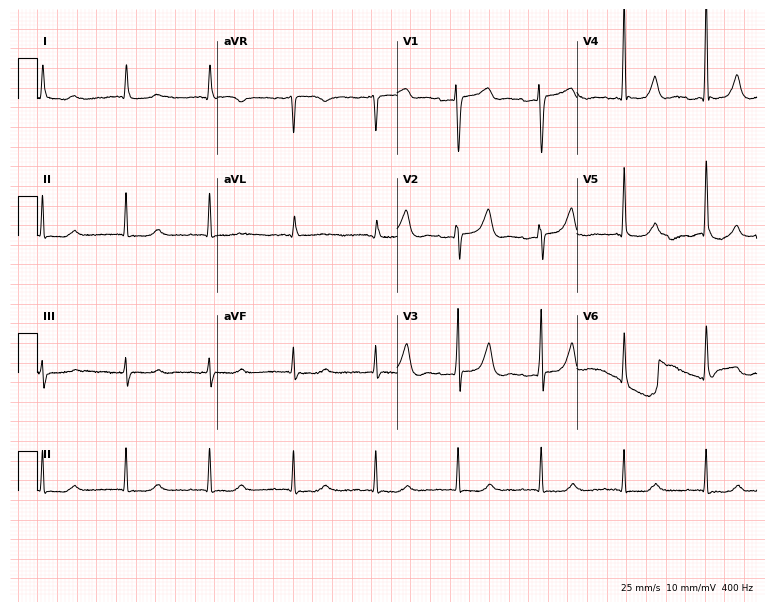
Electrocardiogram (7.3-second recording at 400 Hz), an 82-year-old woman. Of the six screened findings (first-degree AV block, right bundle branch block, left bundle branch block, sinus bradycardia, atrial fibrillation, sinus tachycardia), none is recorded.